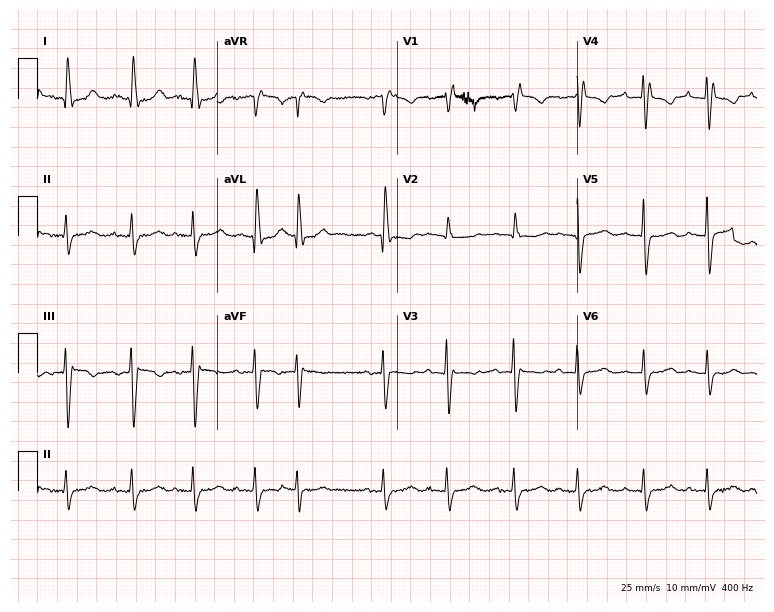
12-lead ECG (7.3-second recording at 400 Hz) from a 75-year-old female patient. Findings include first-degree AV block, right bundle branch block (RBBB).